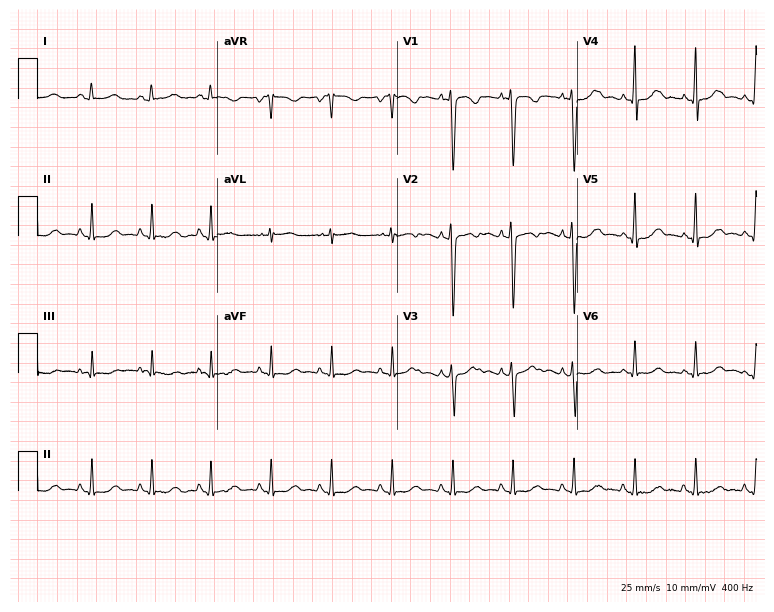
Electrocardiogram (7.3-second recording at 400 Hz), a 32-year-old female patient. Of the six screened findings (first-degree AV block, right bundle branch block (RBBB), left bundle branch block (LBBB), sinus bradycardia, atrial fibrillation (AF), sinus tachycardia), none is recorded. Other findings, if any, are not listed.